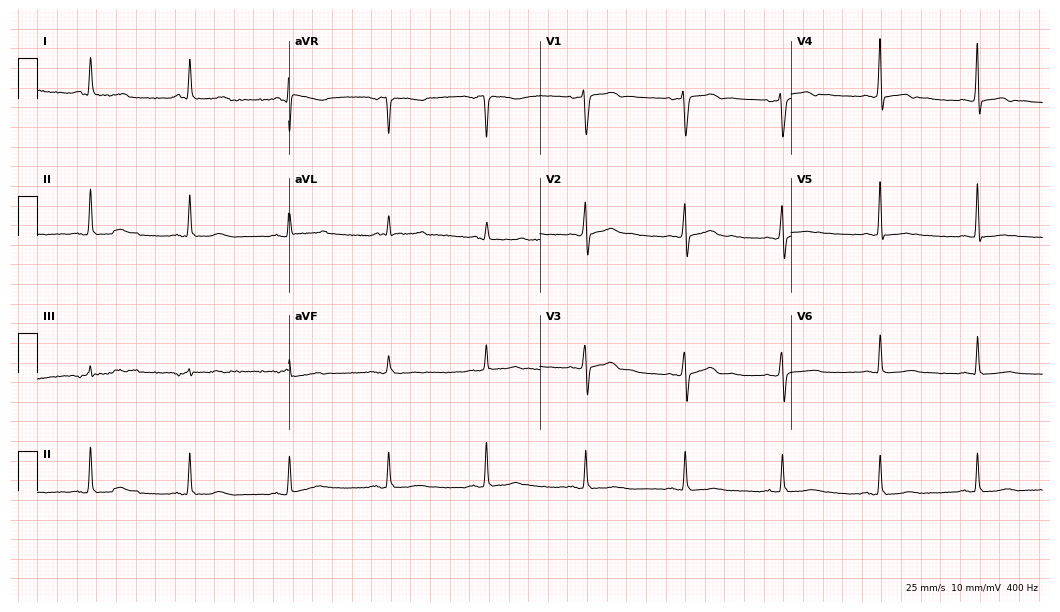
Electrocardiogram (10.2-second recording at 400 Hz), a female patient, 56 years old. Overall reading on record: normal ECG.